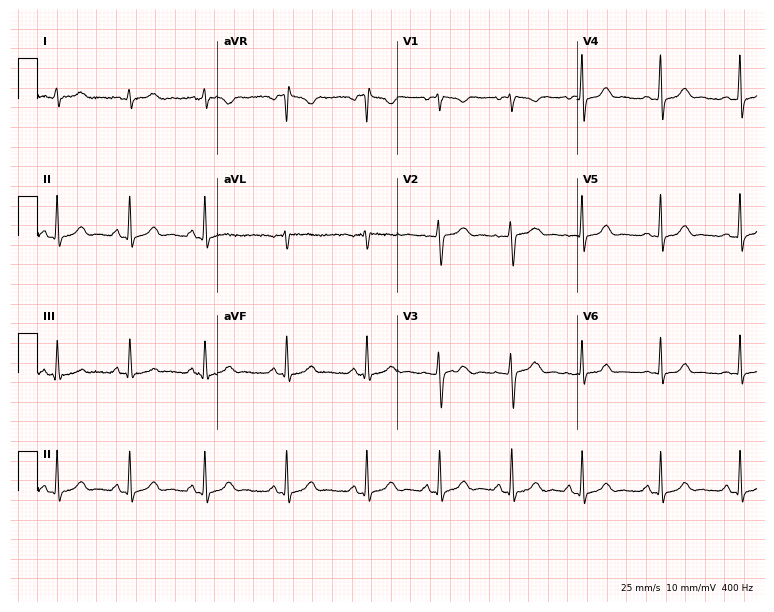
12-lead ECG from a woman, 18 years old. Screened for six findings — first-degree AV block, right bundle branch block (RBBB), left bundle branch block (LBBB), sinus bradycardia, atrial fibrillation (AF), sinus tachycardia — none is recorded. Findings outside these six are not listed.